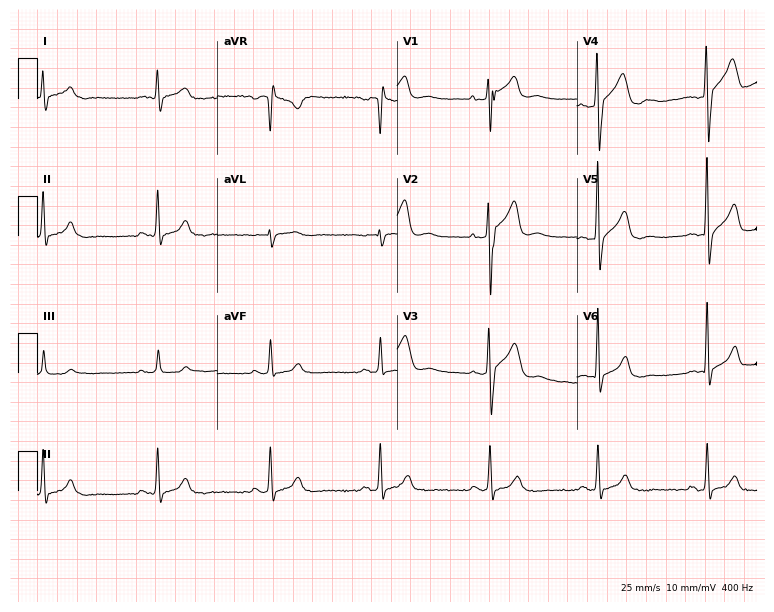
ECG — a male, 30 years old. Screened for six findings — first-degree AV block, right bundle branch block (RBBB), left bundle branch block (LBBB), sinus bradycardia, atrial fibrillation (AF), sinus tachycardia — none is recorded.